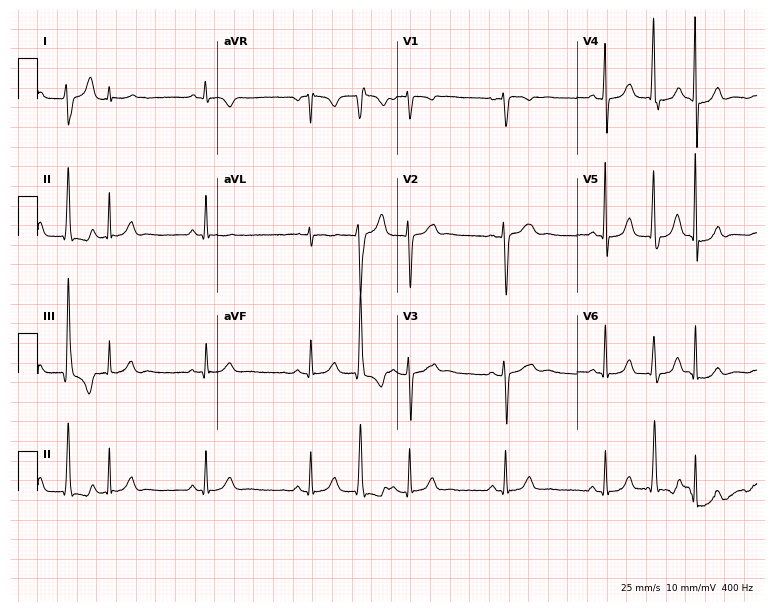
ECG (7.3-second recording at 400 Hz) — a female patient, 17 years old. Screened for six findings — first-degree AV block, right bundle branch block (RBBB), left bundle branch block (LBBB), sinus bradycardia, atrial fibrillation (AF), sinus tachycardia — none is recorded. Other findings, if any, are not listed.